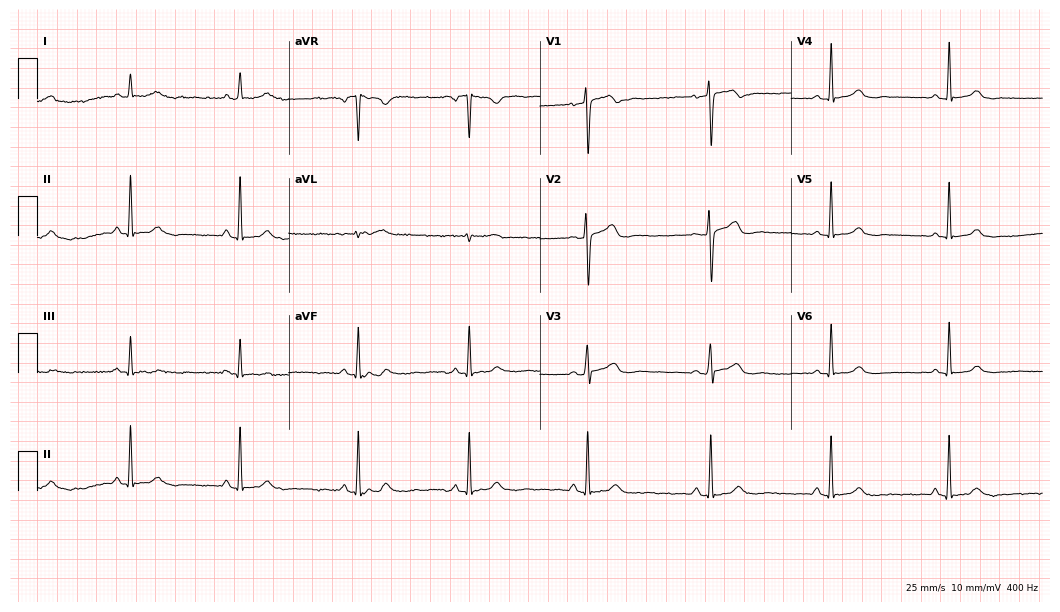
Standard 12-lead ECG recorded from a woman, 49 years old. The tracing shows sinus bradycardia (a sinus rate of 50 beats per minute or less).